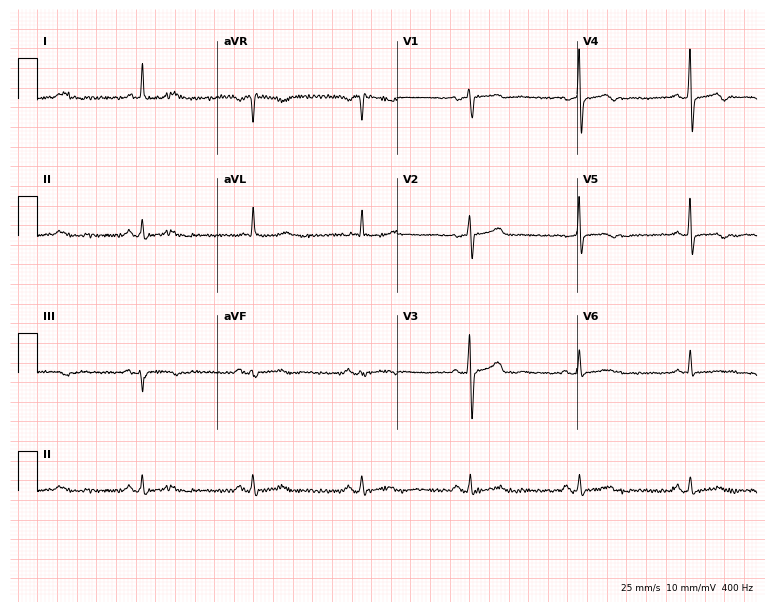
12-lead ECG (7.3-second recording at 400 Hz) from a female, 58 years old. Screened for six findings — first-degree AV block, right bundle branch block, left bundle branch block, sinus bradycardia, atrial fibrillation, sinus tachycardia — none is recorded.